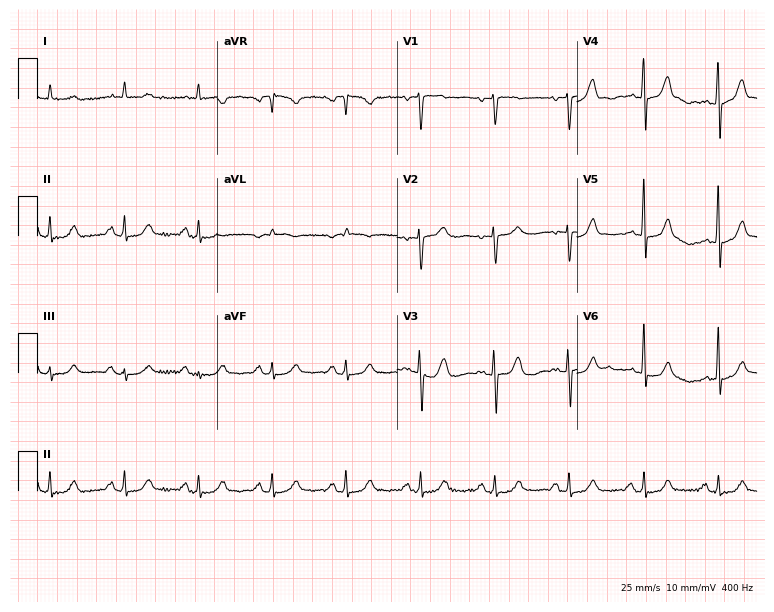
12-lead ECG from a 71-year-old female patient (7.3-second recording at 400 Hz). Recorded interpretation: within normal limits.